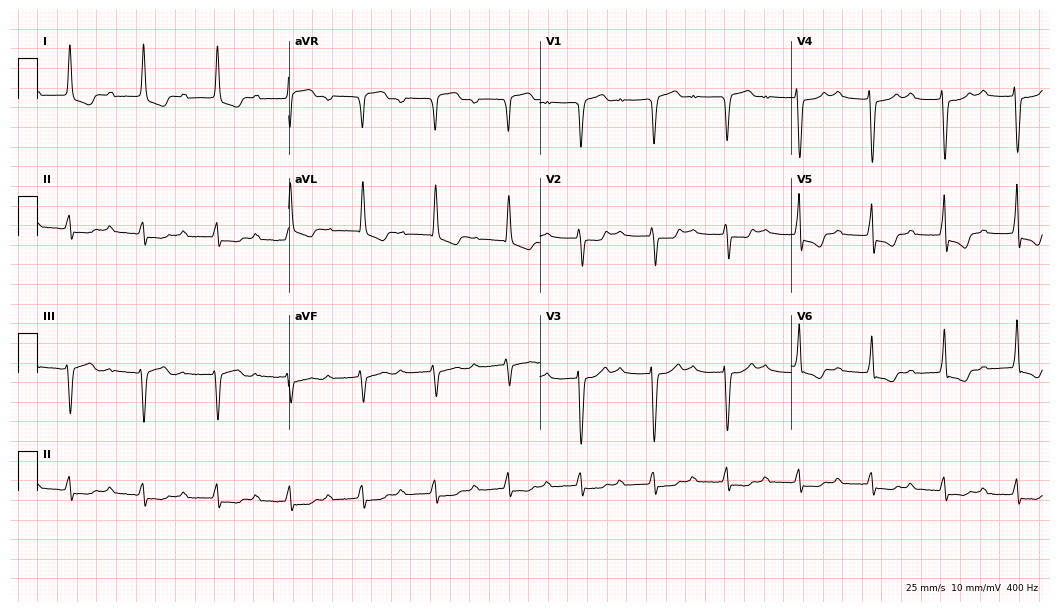
Resting 12-lead electrocardiogram (10.2-second recording at 400 Hz). Patient: a female, 81 years old. None of these six findings is recorded: first-degree AV block, right bundle branch block (RBBB), left bundle branch block (LBBB), sinus bradycardia, atrial fibrillation (AF), sinus tachycardia. Findings outside these six are not listed.